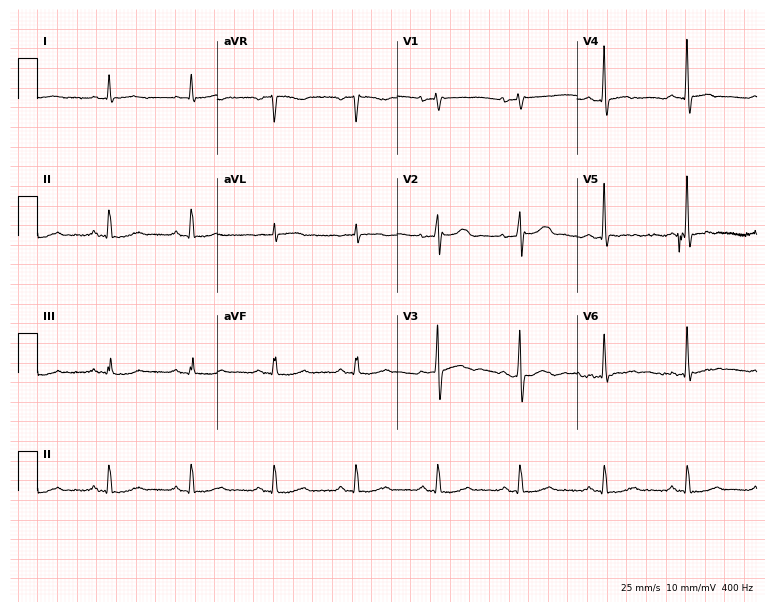
Resting 12-lead electrocardiogram (7.3-second recording at 400 Hz). Patient: an 82-year-old male. None of these six findings is recorded: first-degree AV block, right bundle branch block, left bundle branch block, sinus bradycardia, atrial fibrillation, sinus tachycardia.